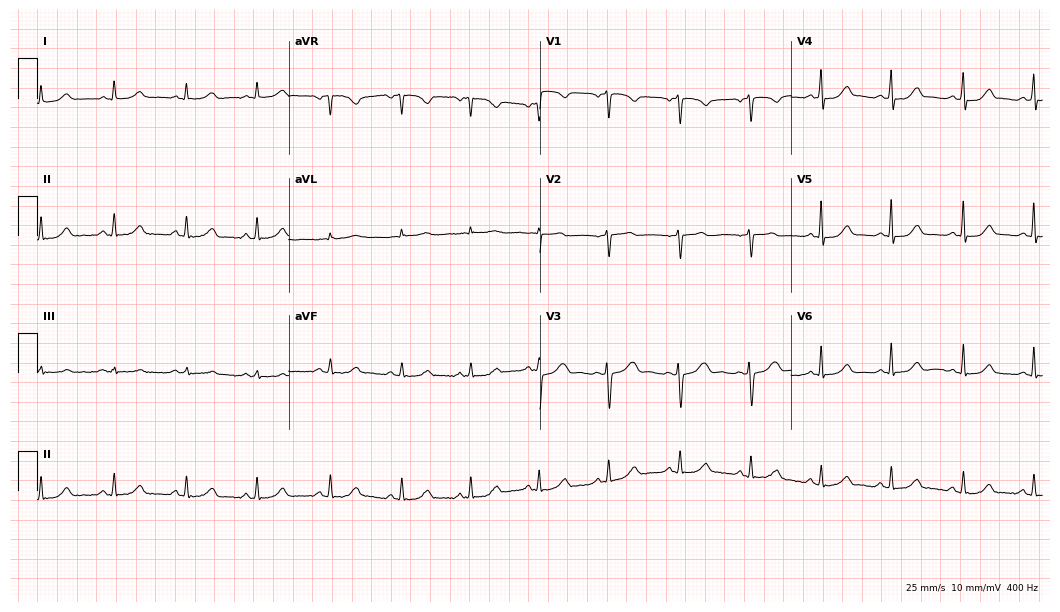
12-lead ECG (10.2-second recording at 400 Hz) from a woman, 53 years old. Labelled as a normal ECG.